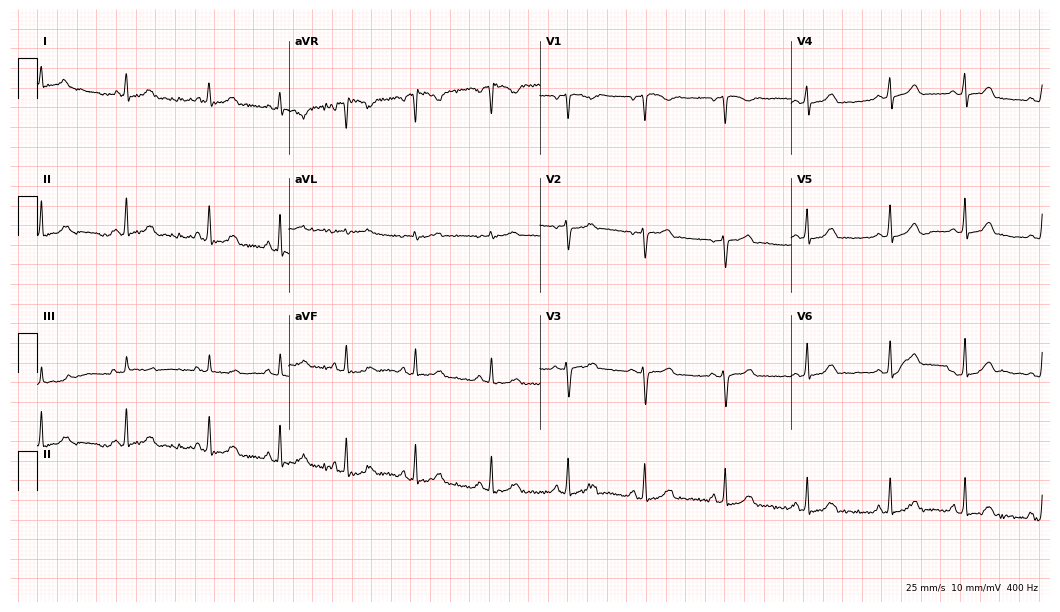
ECG (10.2-second recording at 400 Hz) — a female, 19 years old. Labelled as a normal ECG.